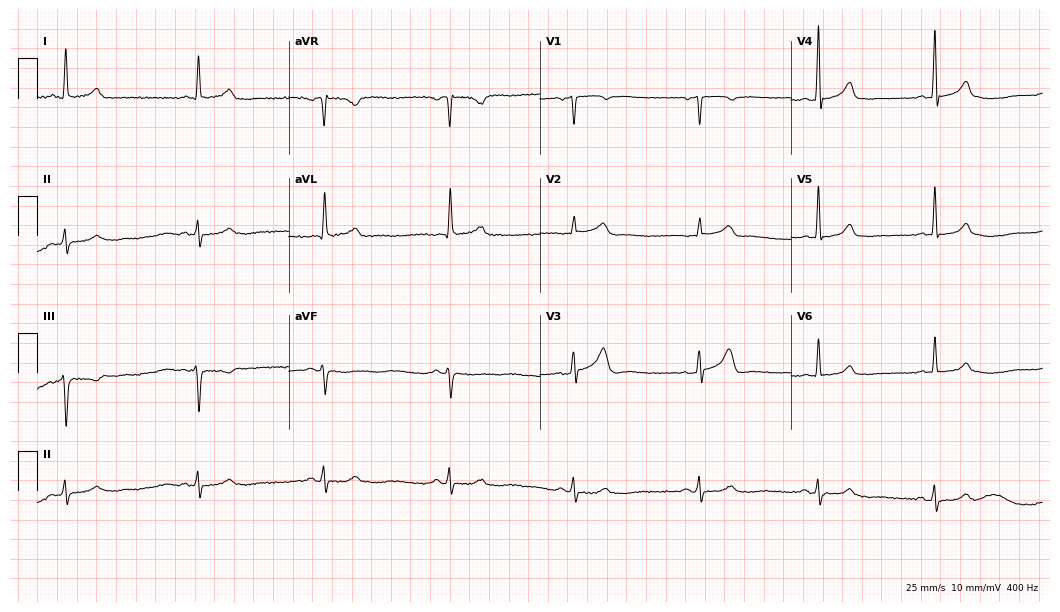
12-lead ECG from a female, 67 years old (10.2-second recording at 400 Hz). Recorded interpretation: within normal limits.